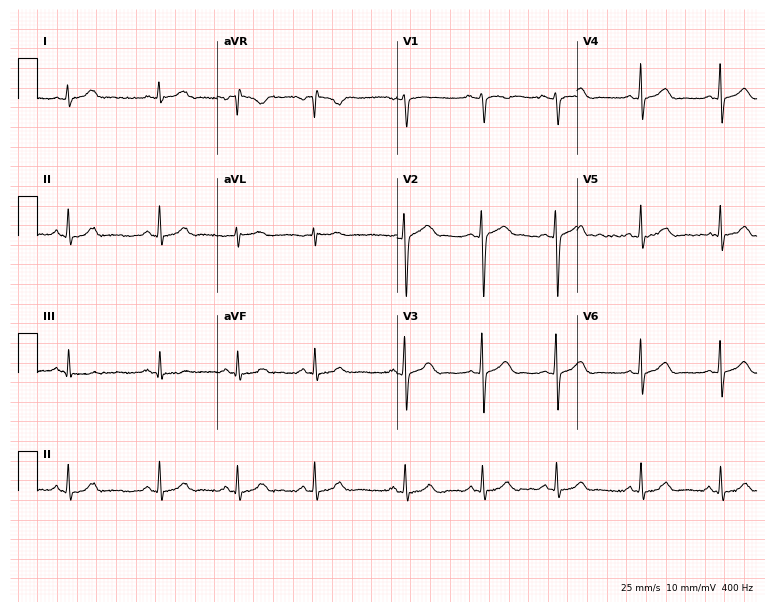
Resting 12-lead electrocardiogram (7.3-second recording at 400 Hz). Patient: a 19-year-old female. None of these six findings is recorded: first-degree AV block, right bundle branch block, left bundle branch block, sinus bradycardia, atrial fibrillation, sinus tachycardia. Only these six findings were labelled.